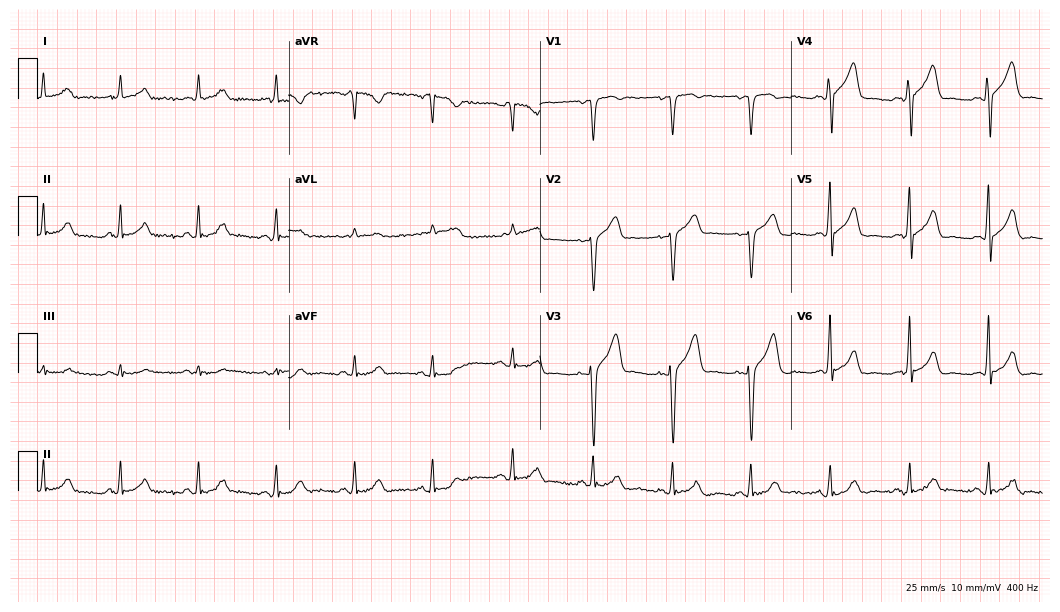
Standard 12-lead ECG recorded from a male patient, 51 years old (10.2-second recording at 400 Hz). Read as a normal ECG.